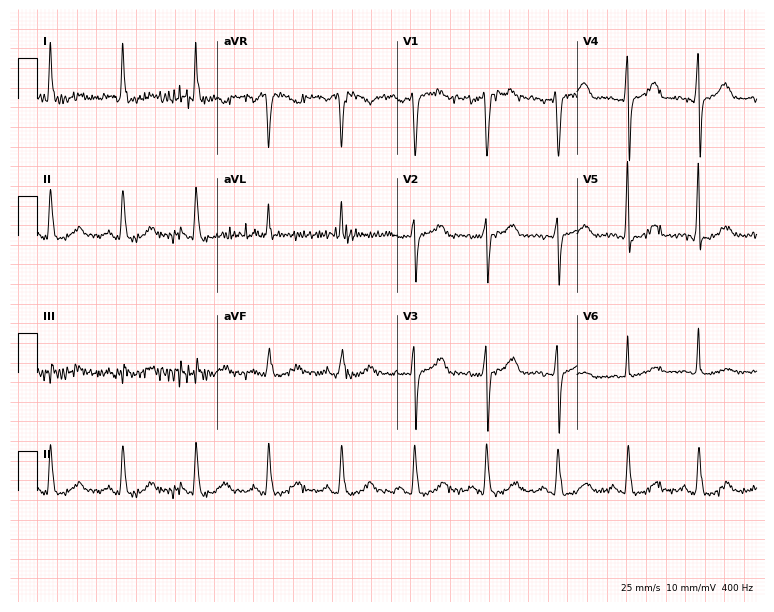
12-lead ECG from a female, 58 years old. No first-degree AV block, right bundle branch block, left bundle branch block, sinus bradycardia, atrial fibrillation or sinus tachycardia recorded for this tracing. Findings outside these six are not listed.